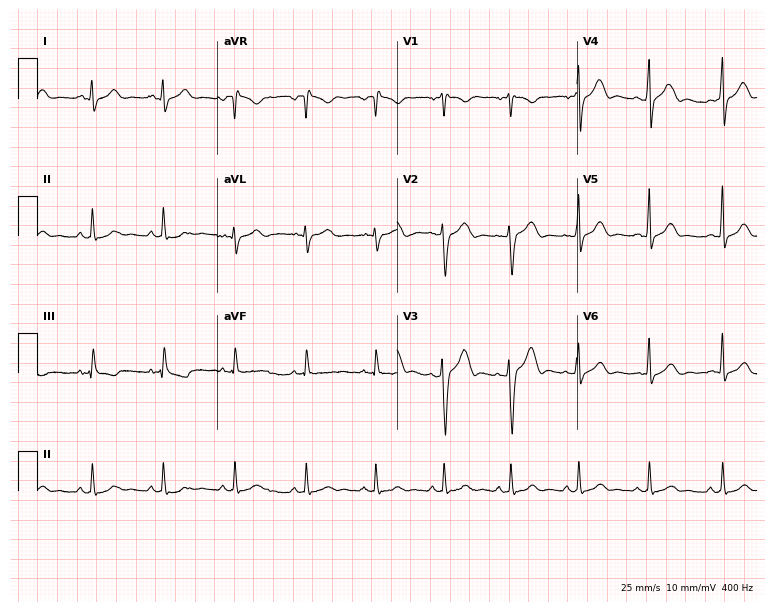
Resting 12-lead electrocardiogram (7.3-second recording at 400 Hz). Patient: a 29-year-old male. Read as a normal ECG.